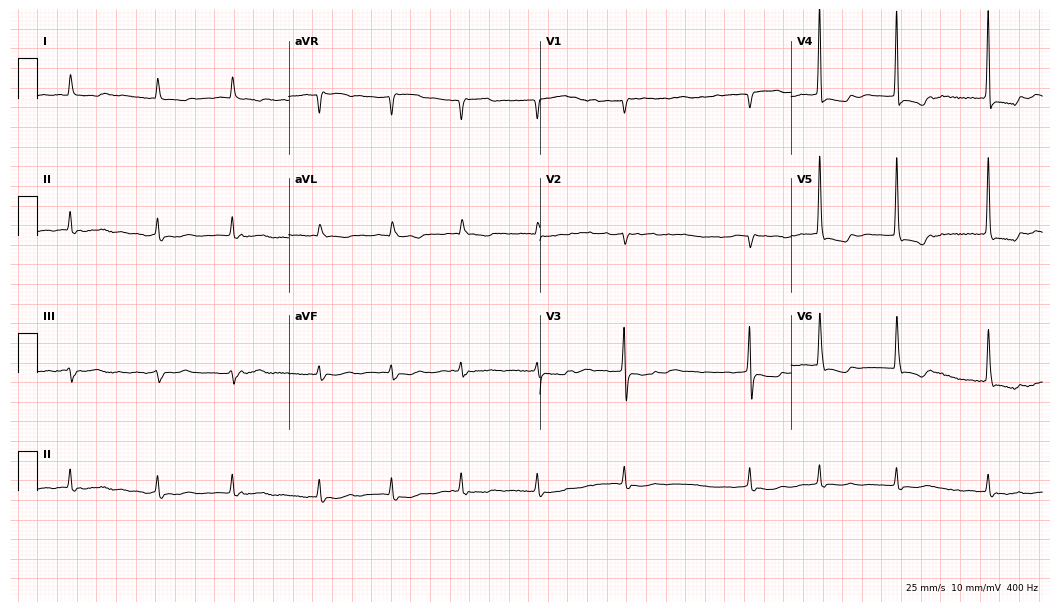
ECG — a 77-year-old female. Findings include atrial fibrillation (AF).